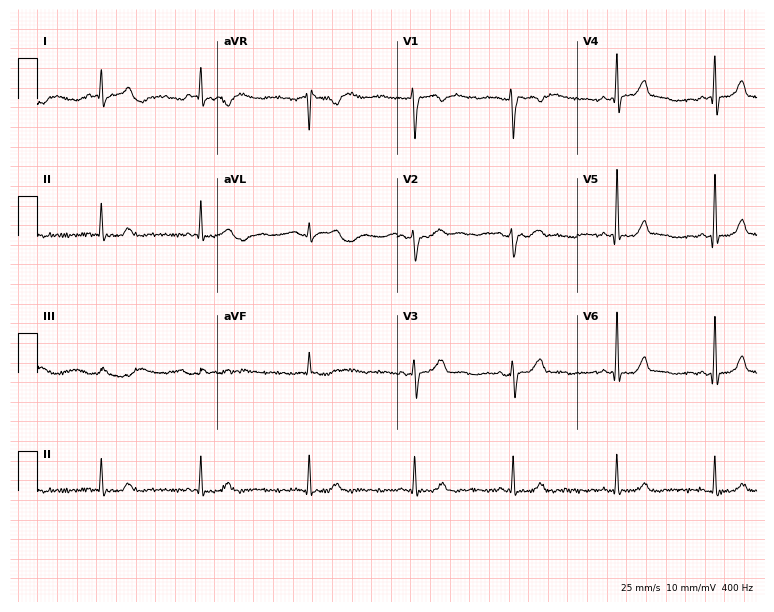
Electrocardiogram (7.3-second recording at 400 Hz), a 28-year-old female. Of the six screened findings (first-degree AV block, right bundle branch block (RBBB), left bundle branch block (LBBB), sinus bradycardia, atrial fibrillation (AF), sinus tachycardia), none is recorded.